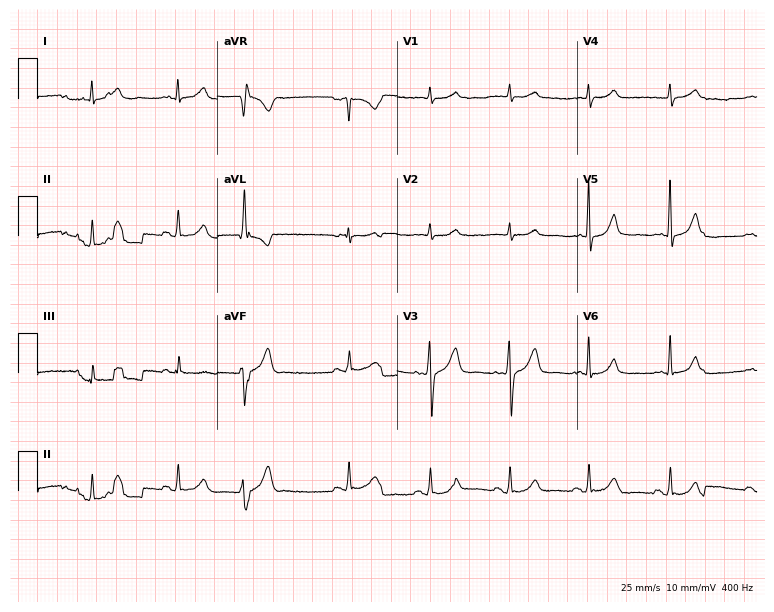
ECG (7.3-second recording at 400 Hz) — a male, 46 years old. Screened for six findings — first-degree AV block, right bundle branch block, left bundle branch block, sinus bradycardia, atrial fibrillation, sinus tachycardia — none is recorded.